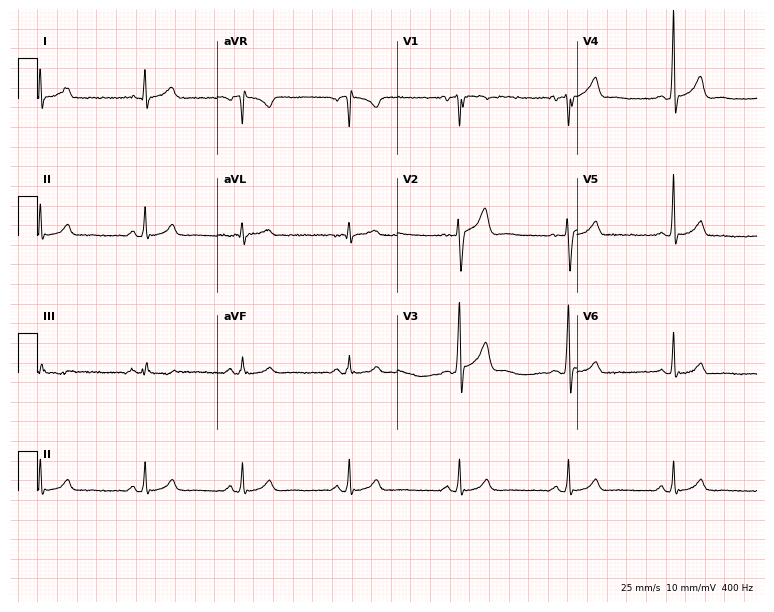
Electrocardiogram (7.3-second recording at 400 Hz), a male, 19 years old. Overall reading on record: normal ECG.